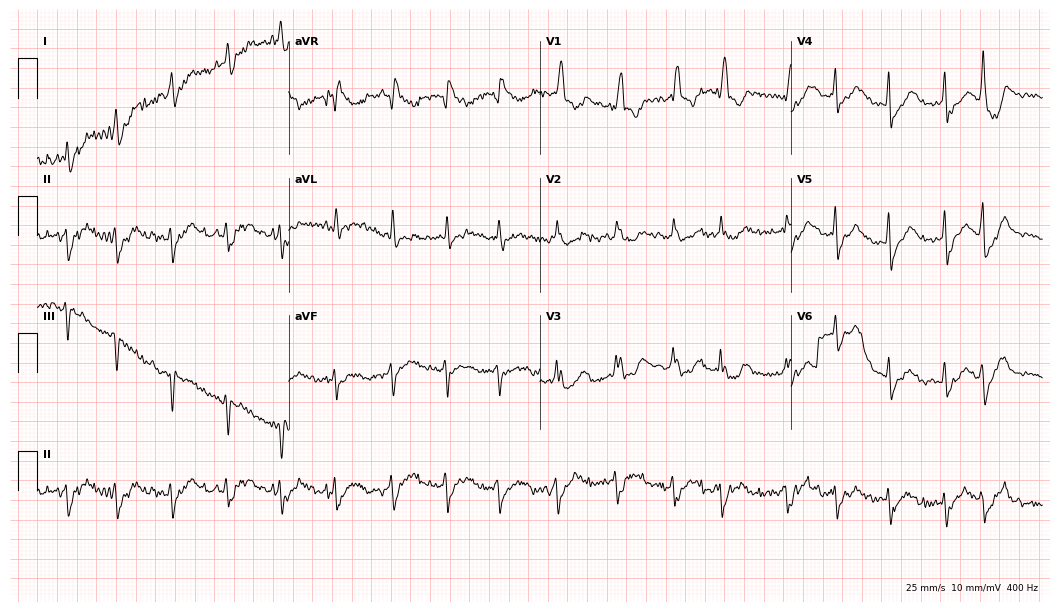
ECG (10.2-second recording at 400 Hz) — an 83-year-old male patient. Screened for six findings — first-degree AV block, right bundle branch block, left bundle branch block, sinus bradycardia, atrial fibrillation, sinus tachycardia — none is recorded. Other findings, if any, are not listed.